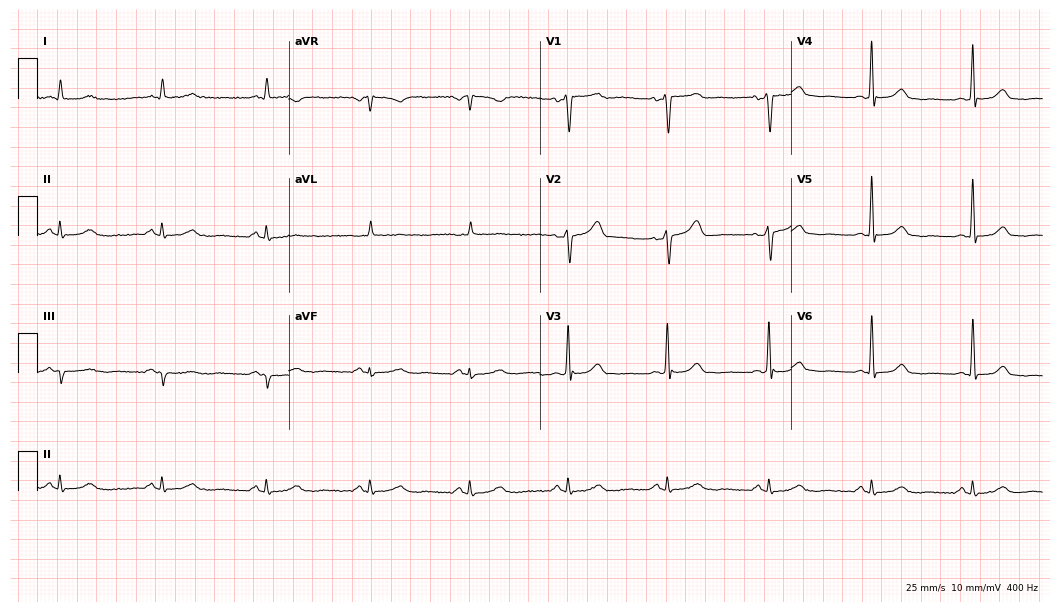
12-lead ECG from a 62-year-old man (10.2-second recording at 400 Hz). No first-degree AV block, right bundle branch block (RBBB), left bundle branch block (LBBB), sinus bradycardia, atrial fibrillation (AF) or sinus tachycardia recorded for this tracing.